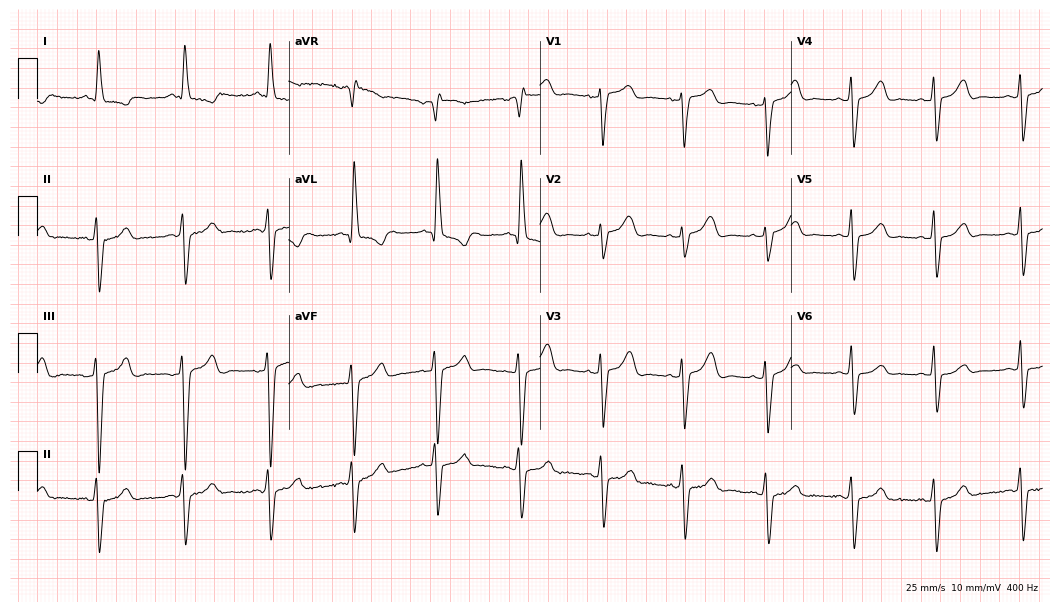
12-lead ECG (10.2-second recording at 400 Hz) from a 77-year-old female. Screened for six findings — first-degree AV block, right bundle branch block, left bundle branch block, sinus bradycardia, atrial fibrillation, sinus tachycardia — none is recorded. Only these six findings were labelled.